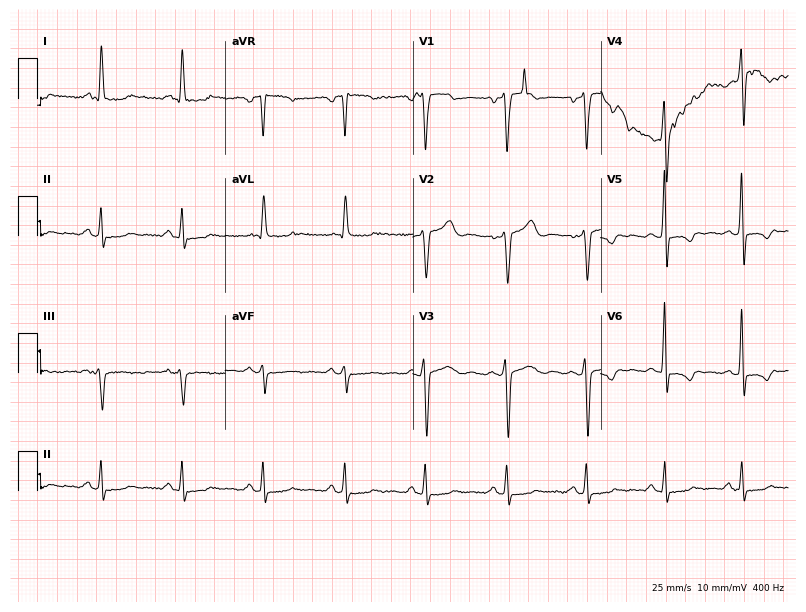
12-lead ECG from a male, 46 years old. Screened for six findings — first-degree AV block, right bundle branch block, left bundle branch block, sinus bradycardia, atrial fibrillation, sinus tachycardia — none is recorded. Findings outside these six are not listed.